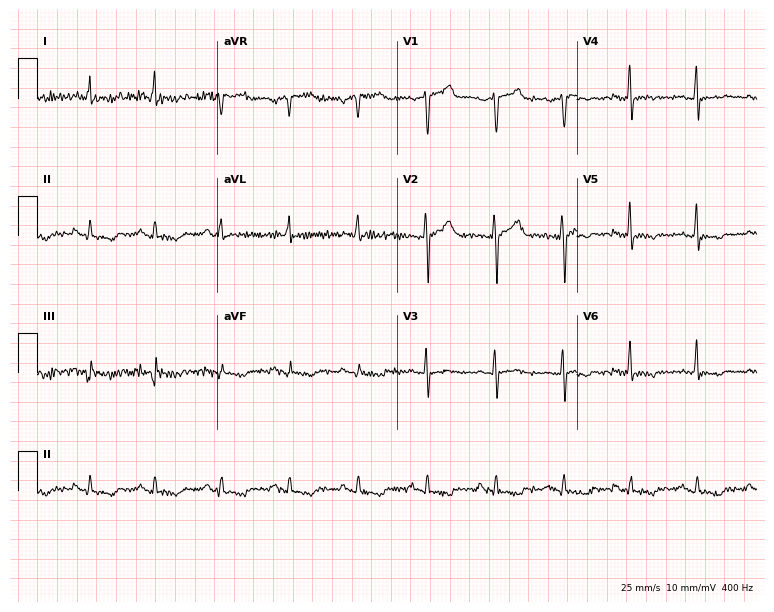
ECG — a man, 58 years old. Screened for six findings — first-degree AV block, right bundle branch block, left bundle branch block, sinus bradycardia, atrial fibrillation, sinus tachycardia — none is recorded.